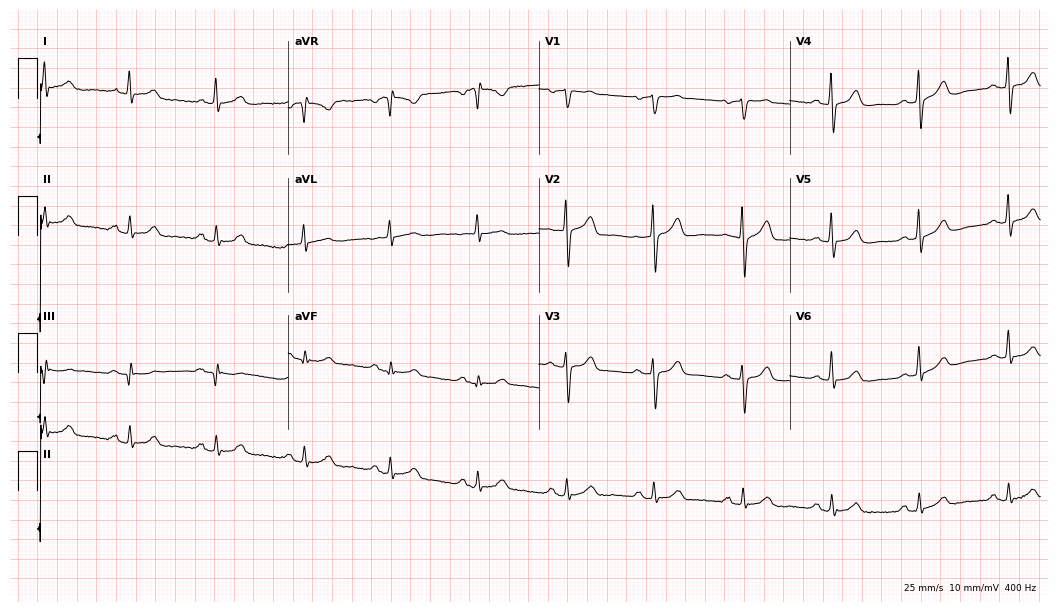
Resting 12-lead electrocardiogram. Patient: a 59-year-old female. None of these six findings is recorded: first-degree AV block, right bundle branch block (RBBB), left bundle branch block (LBBB), sinus bradycardia, atrial fibrillation (AF), sinus tachycardia.